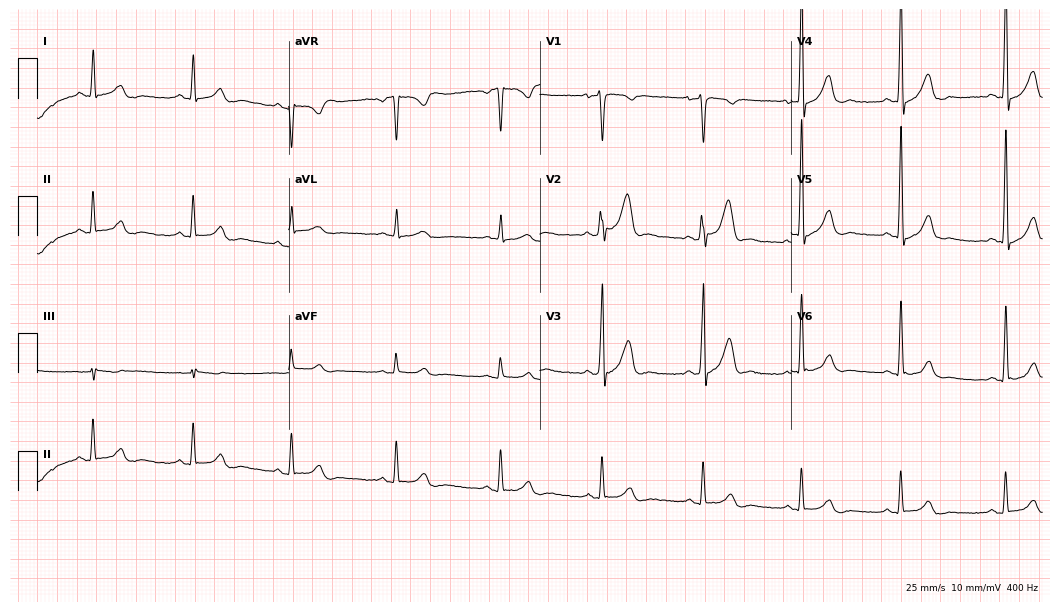
12-lead ECG from a 31-year-old male. Labelled as a normal ECG.